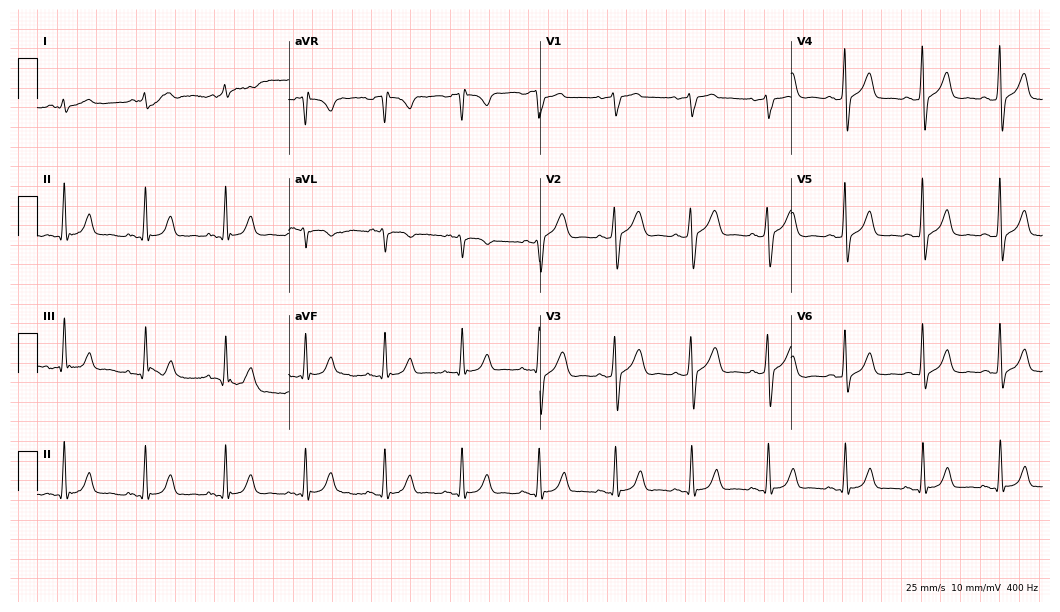
12-lead ECG from a male patient, 61 years old. Recorded interpretation: within normal limits.